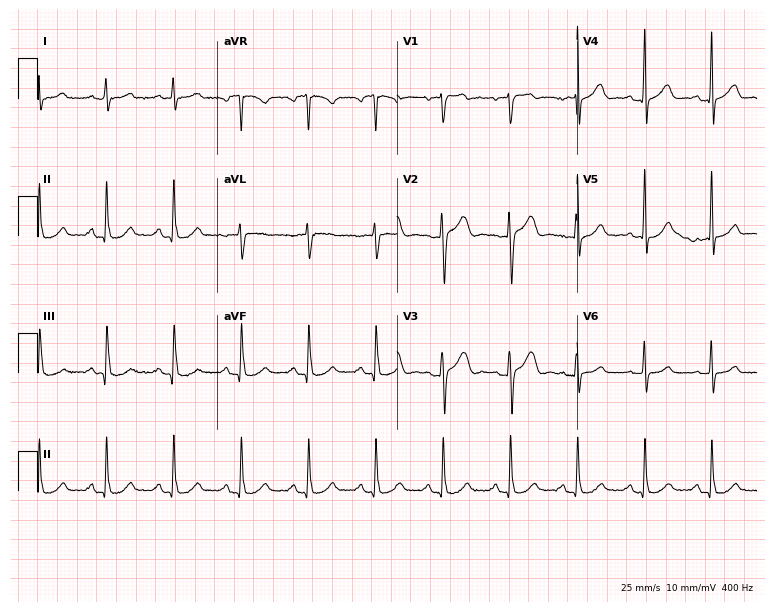
12-lead ECG from a 78-year-old male (7.3-second recording at 400 Hz). Recorded interpretation: within normal limits.